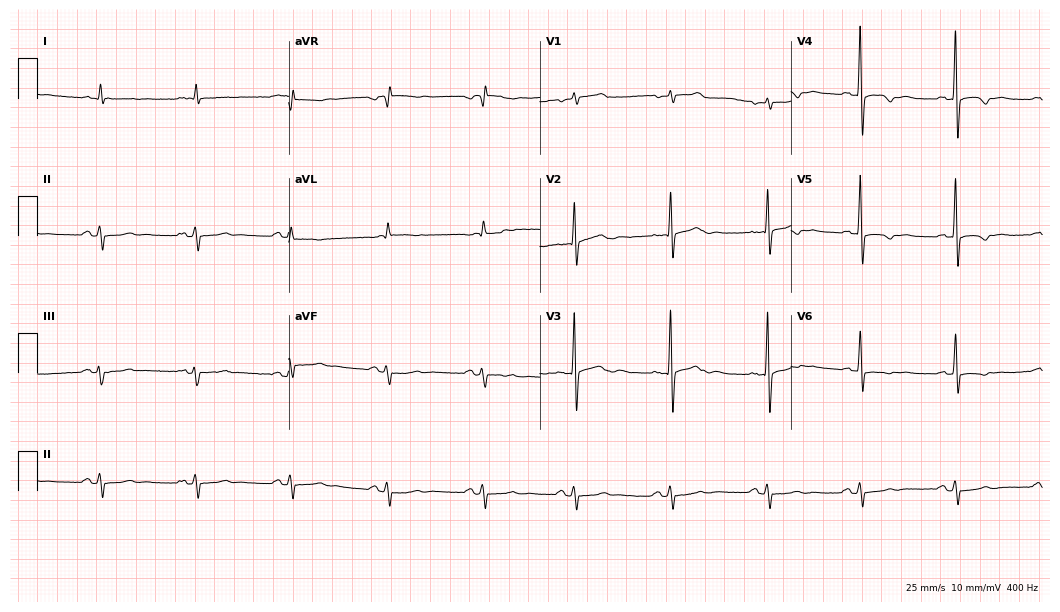
Electrocardiogram (10.2-second recording at 400 Hz), a man, 84 years old. Of the six screened findings (first-degree AV block, right bundle branch block (RBBB), left bundle branch block (LBBB), sinus bradycardia, atrial fibrillation (AF), sinus tachycardia), none is recorded.